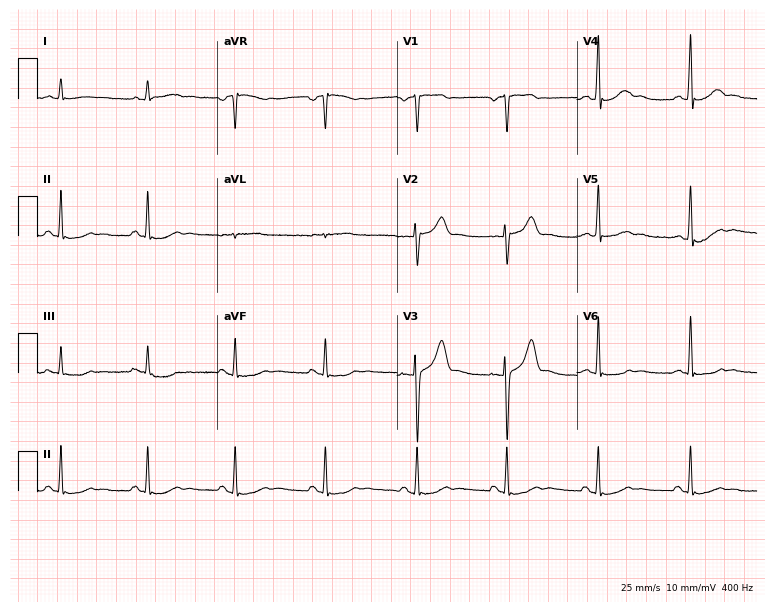
Resting 12-lead electrocardiogram. Patient: a male, 54 years old. Read as a normal ECG.